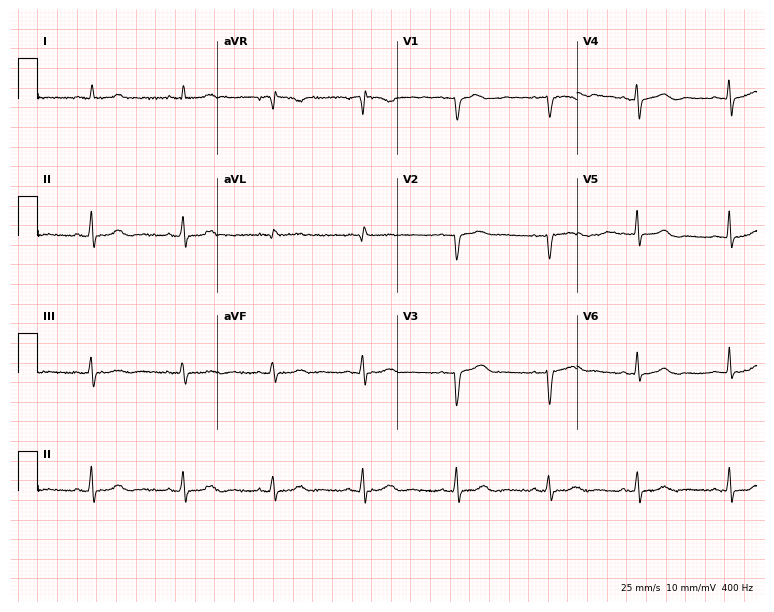
12-lead ECG from a 53-year-old female patient. Screened for six findings — first-degree AV block, right bundle branch block, left bundle branch block, sinus bradycardia, atrial fibrillation, sinus tachycardia — none is recorded.